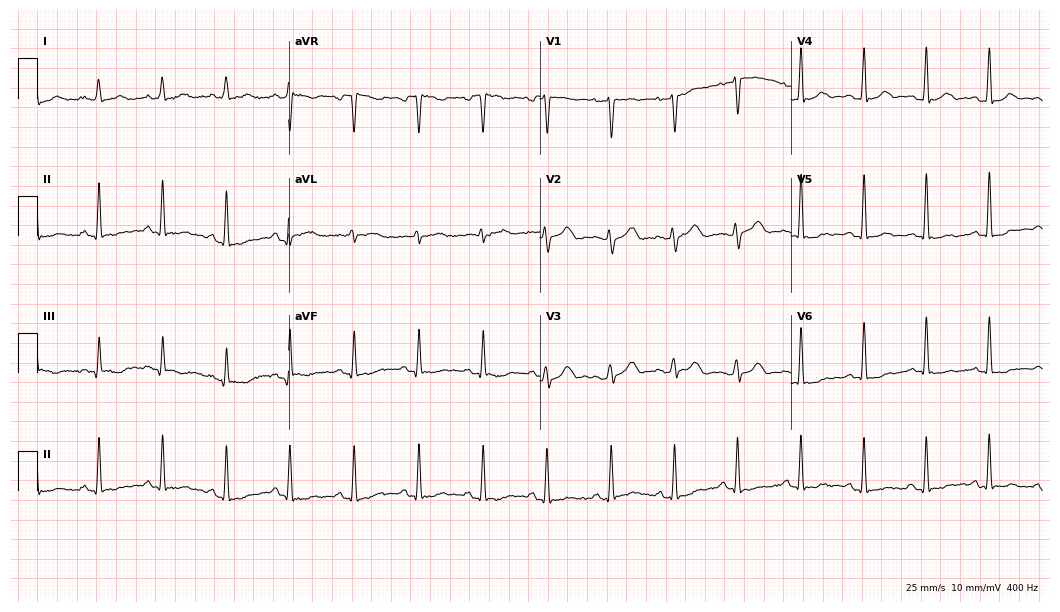
Resting 12-lead electrocardiogram (10.2-second recording at 400 Hz). Patient: a female, 44 years old. None of these six findings is recorded: first-degree AV block, right bundle branch block (RBBB), left bundle branch block (LBBB), sinus bradycardia, atrial fibrillation (AF), sinus tachycardia.